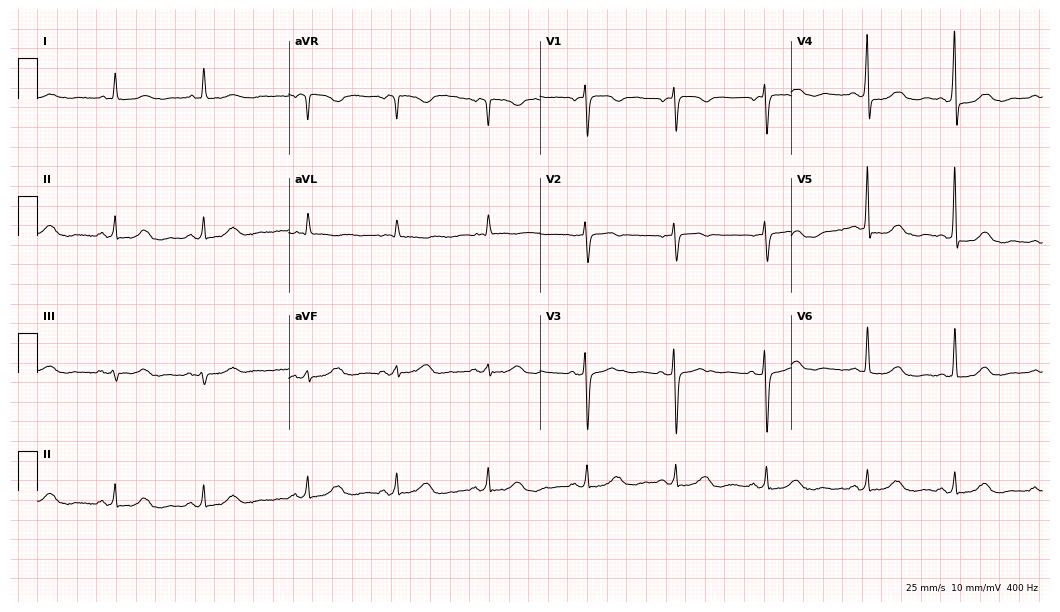
Standard 12-lead ECG recorded from a female patient, 62 years old. None of these six findings is recorded: first-degree AV block, right bundle branch block, left bundle branch block, sinus bradycardia, atrial fibrillation, sinus tachycardia.